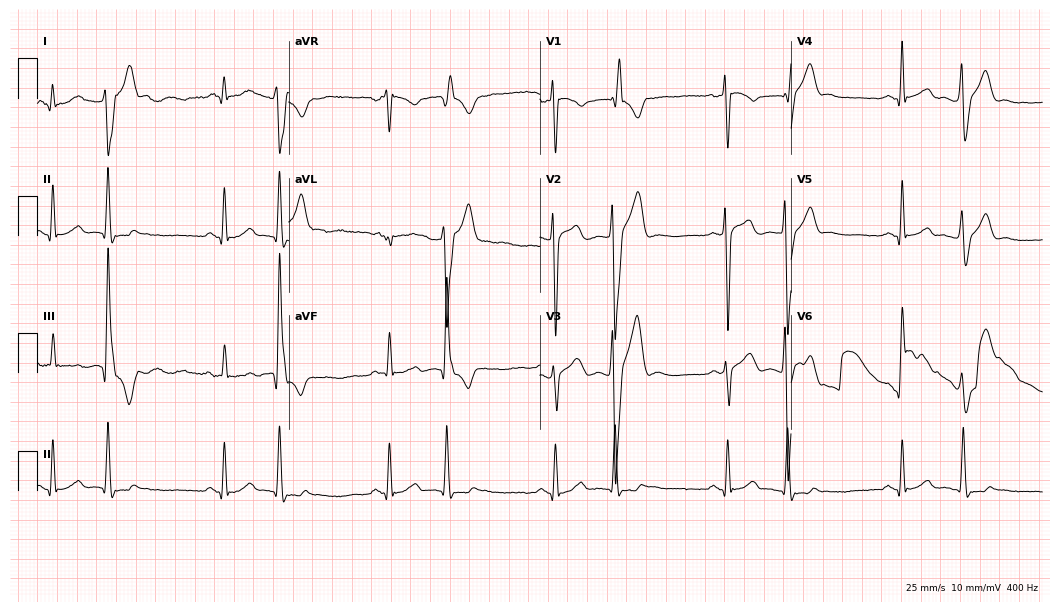
12-lead ECG from a 29-year-old man. No first-degree AV block, right bundle branch block, left bundle branch block, sinus bradycardia, atrial fibrillation or sinus tachycardia recorded for this tracing.